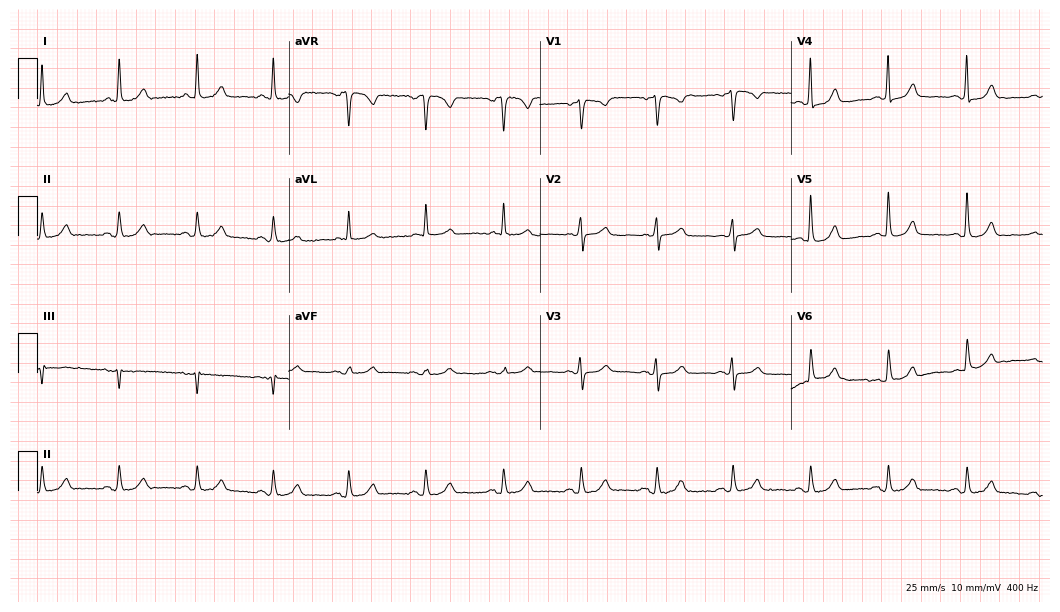
ECG (10.2-second recording at 400 Hz) — a female patient, 68 years old. Screened for six findings — first-degree AV block, right bundle branch block, left bundle branch block, sinus bradycardia, atrial fibrillation, sinus tachycardia — none is recorded.